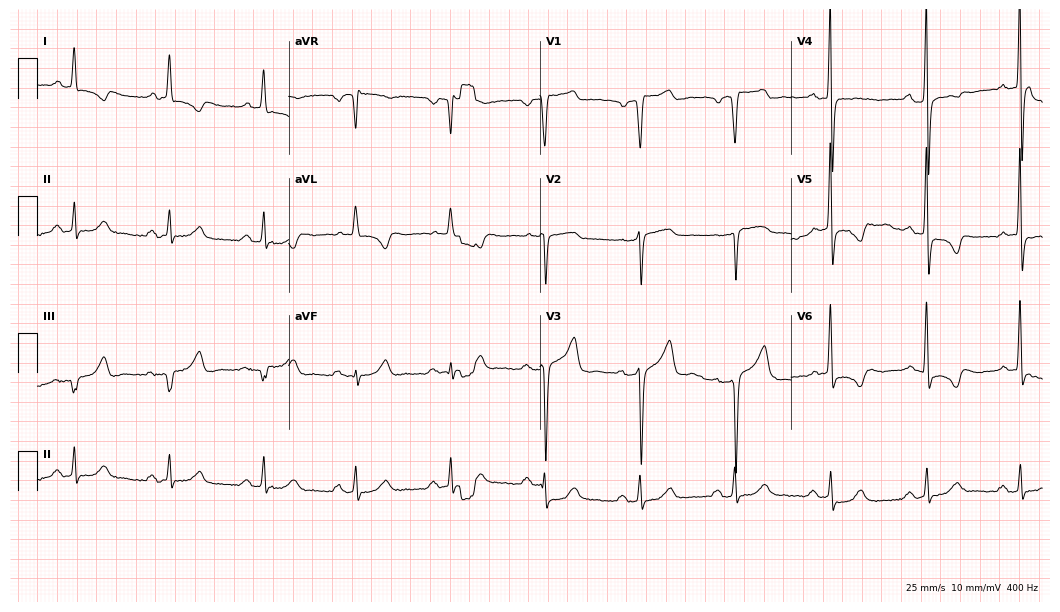
Standard 12-lead ECG recorded from a 65-year-old female patient (10.2-second recording at 400 Hz). None of these six findings is recorded: first-degree AV block, right bundle branch block (RBBB), left bundle branch block (LBBB), sinus bradycardia, atrial fibrillation (AF), sinus tachycardia. Other findings, if any, are not listed.